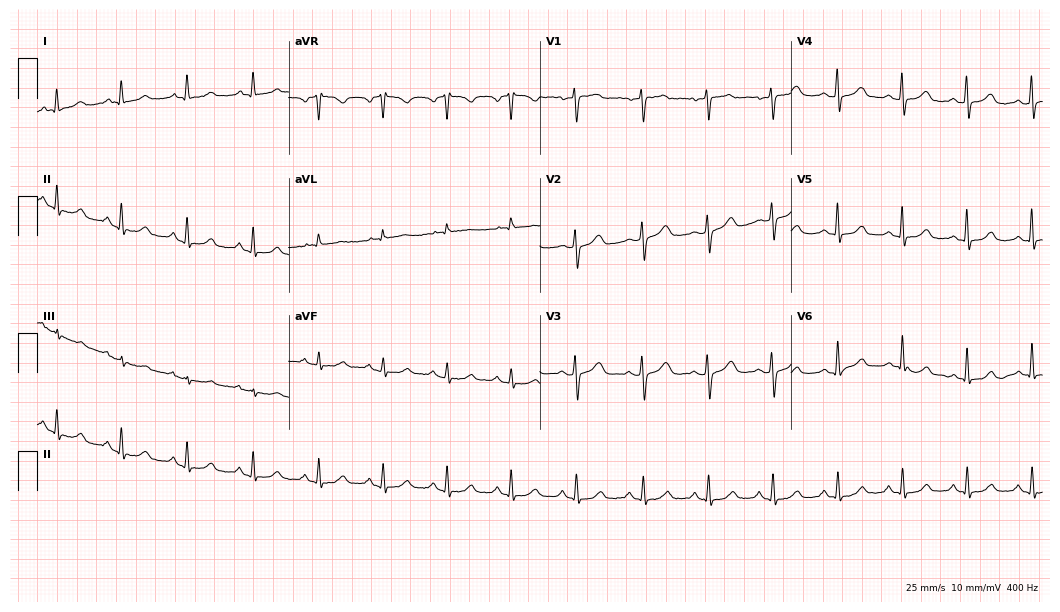
12-lead ECG from a woman, 72 years old (10.2-second recording at 400 Hz). Recorded interpretation: within normal limits.